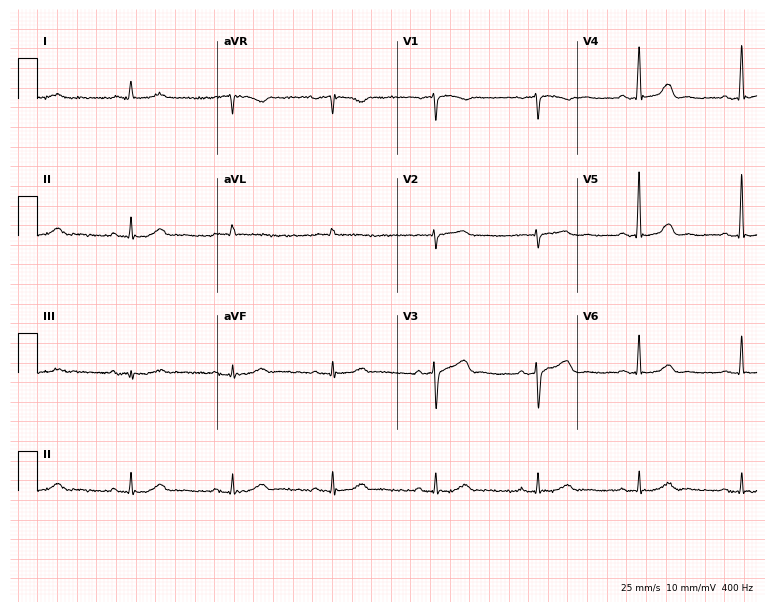
Resting 12-lead electrocardiogram. Patient: a male, 80 years old. None of these six findings is recorded: first-degree AV block, right bundle branch block, left bundle branch block, sinus bradycardia, atrial fibrillation, sinus tachycardia. Findings outside these six are not listed.